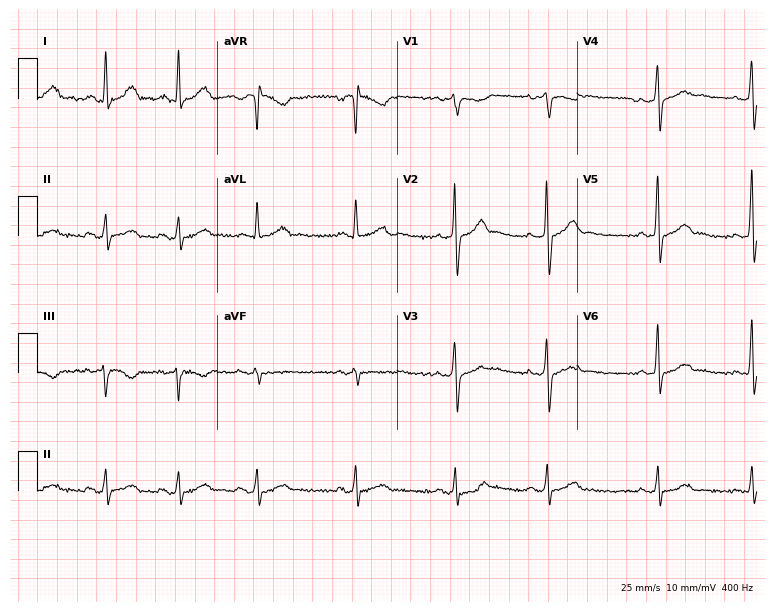
12-lead ECG from a 53-year-old man. Recorded interpretation: within normal limits.